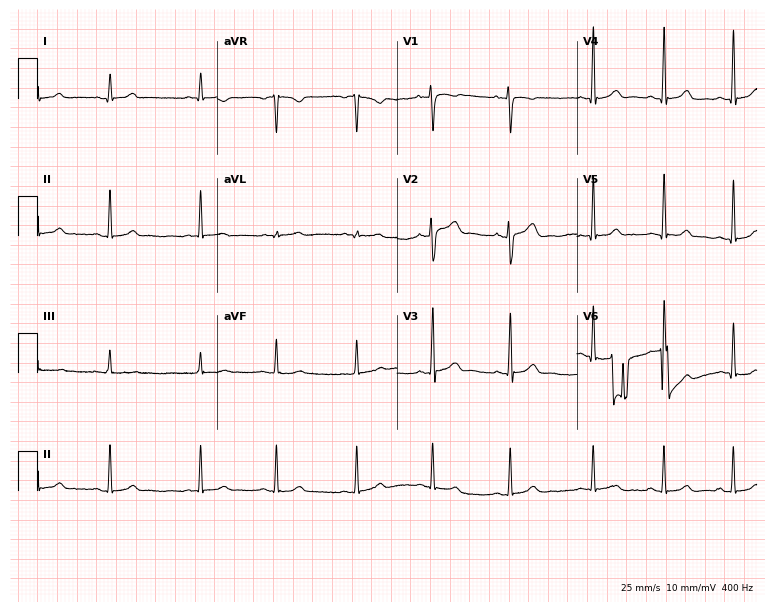
12-lead ECG from a 22-year-old woman (7.3-second recording at 400 Hz). Recorded interpretation: within normal limits.